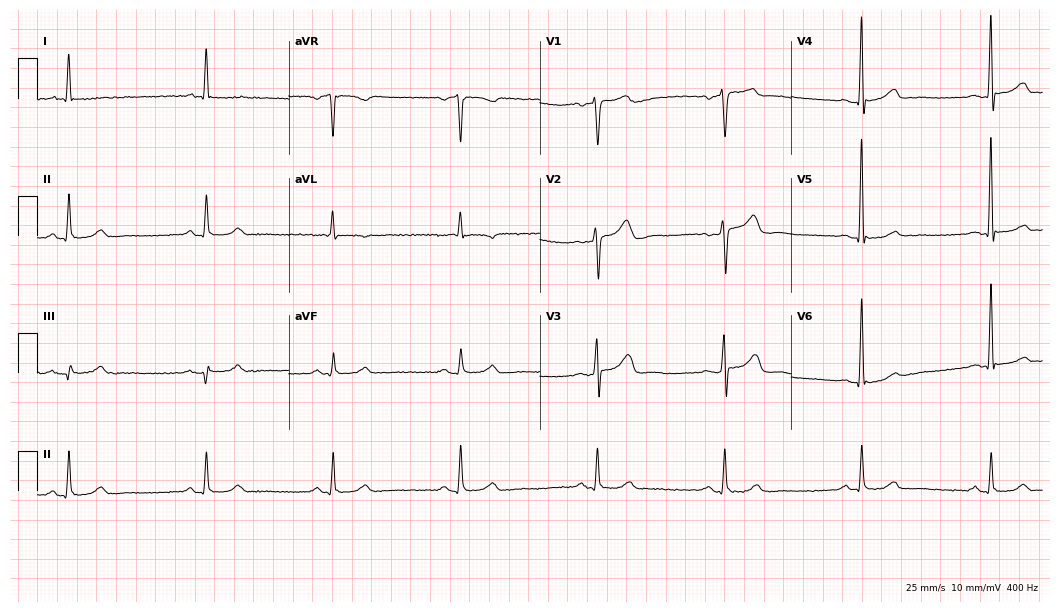
12-lead ECG from a 76-year-old male patient. Findings include sinus bradycardia (a sinus rate of 50 beats per minute or less).